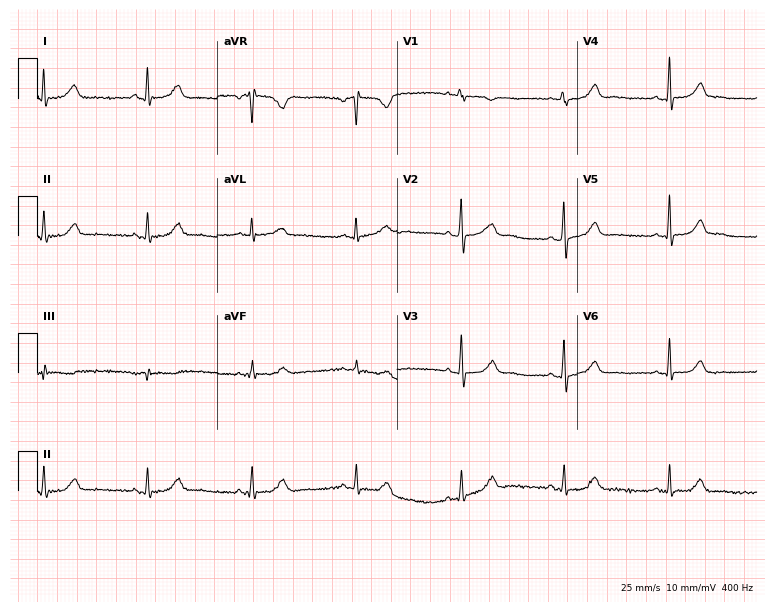
Resting 12-lead electrocardiogram (7.3-second recording at 400 Hz). Patient: a female, 67 years old. Read as a normal ECG.